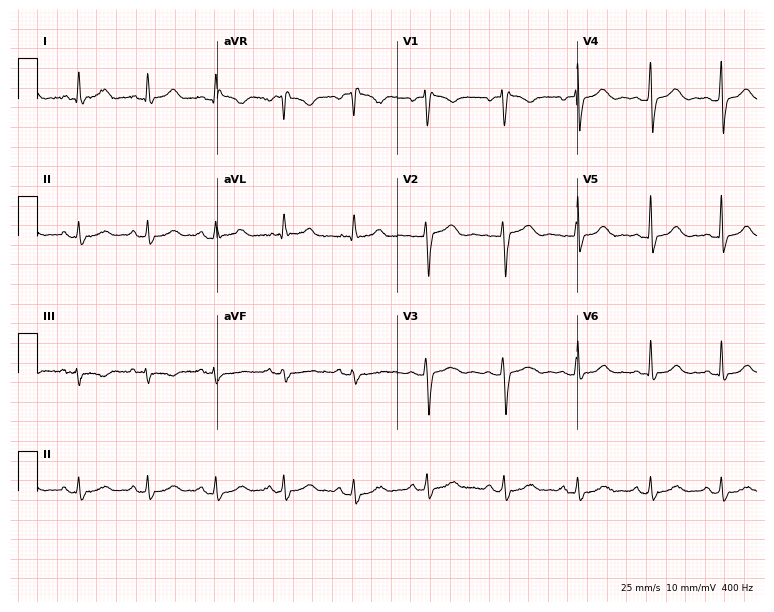
ECG — a woman, 51 years old. Screened for six findings — first-degree AV block, right bundle branch block (RBBB), left bundle branch block (LBBB), sinus bradycardia, atrial fibrillation (AF), sinus tachycardia — none is recorded. Only these six findings were labelled.